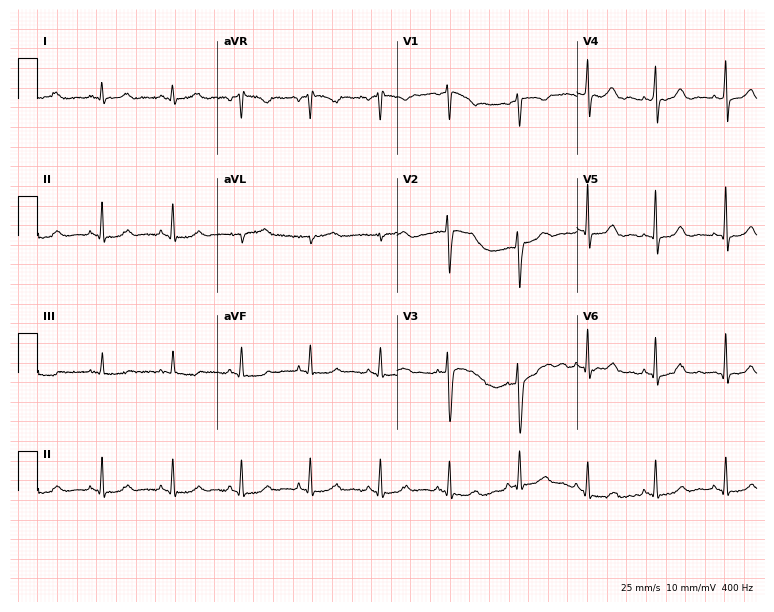
ECG — a 38-year-old female. Labelled as a normal ECG.